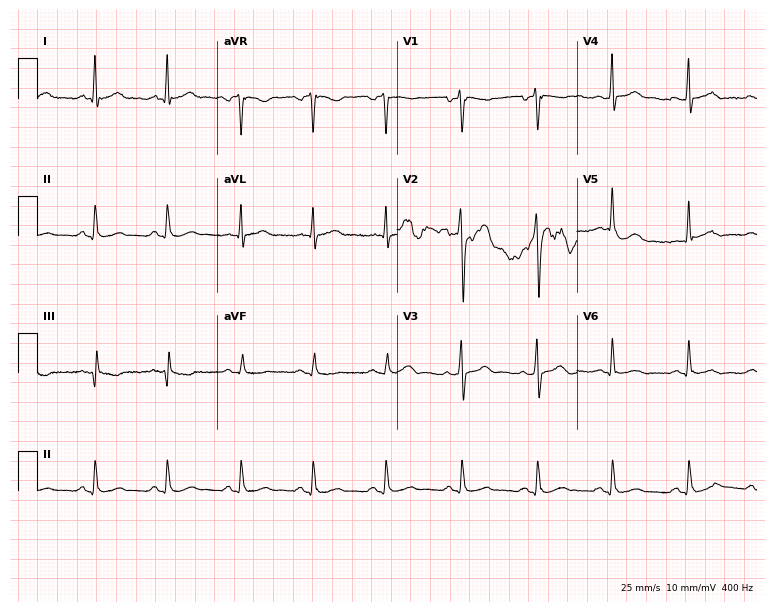
12-lead ECG from a man, 33 years old. Screened for six findings — first-degree AV block, right bundle branch block, left bundle branch block, sinus bradycardia, atrial fibrillation, sinus tachycardia — none is recorded.